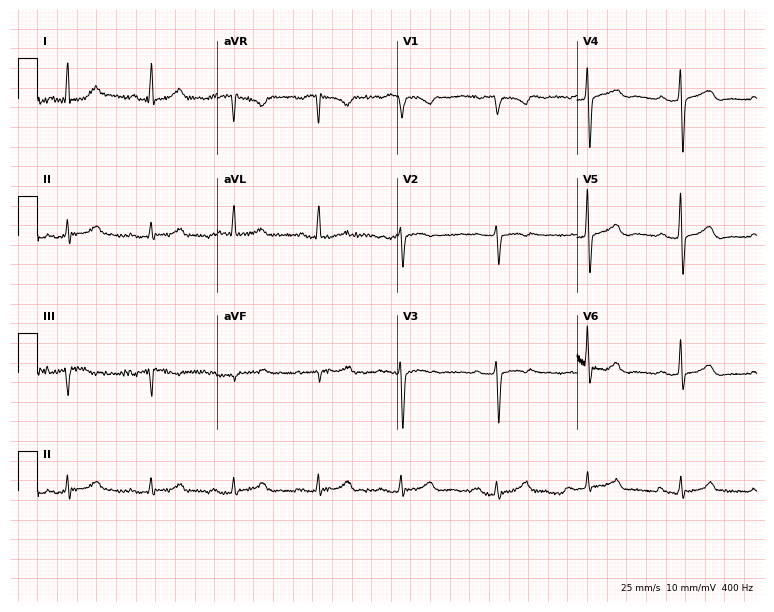
12-lead ECG from a 72-year-old female. Recorded interpretation: within normal limits.